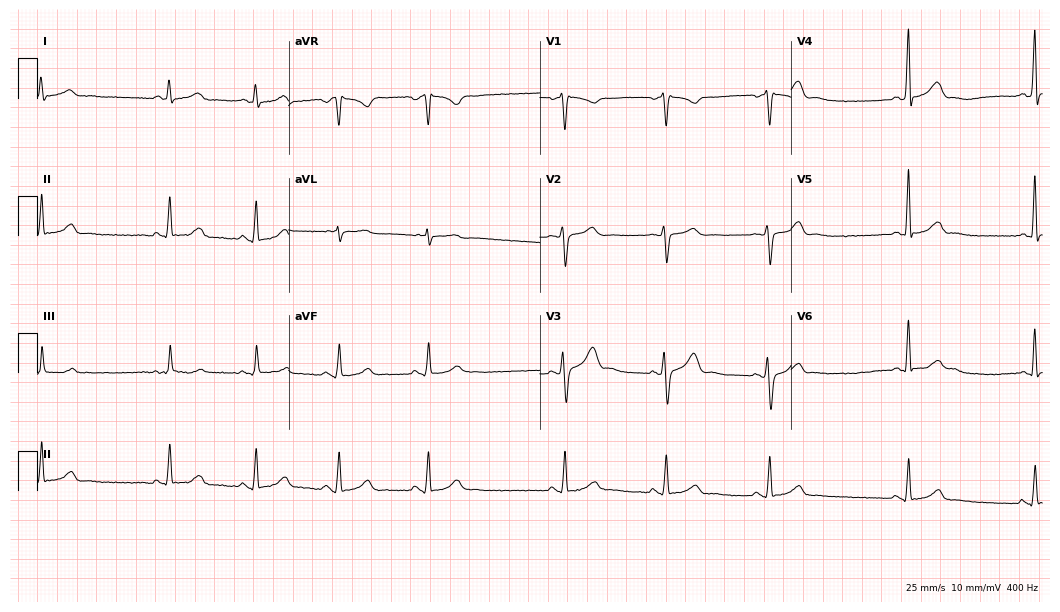
Electrocardiogram (10.2-second recording at 400 Hz), a male patient, 31 years old. Of the six screened findings (first-degree AV block, right bundle branch block (RBBB), left bundle branch block (LBBB), sinus bradycardia, atrial fibrillation (AF), sinus tachycardia), none is recorded.